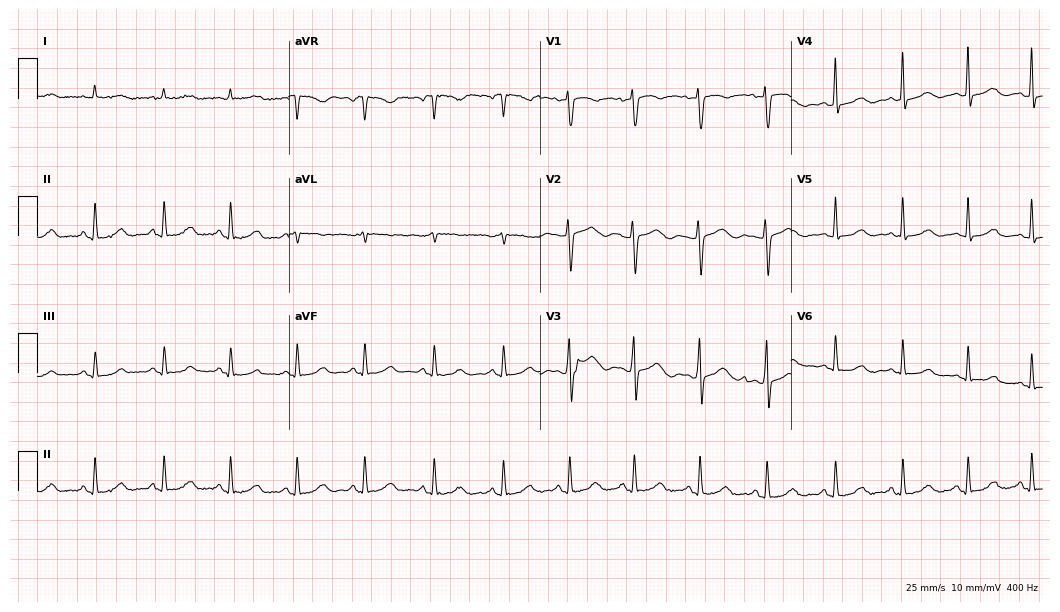
ECG (10.2-second recording at 400 Hz) — a 46-year-old woman. Labelled as a normal ECG.